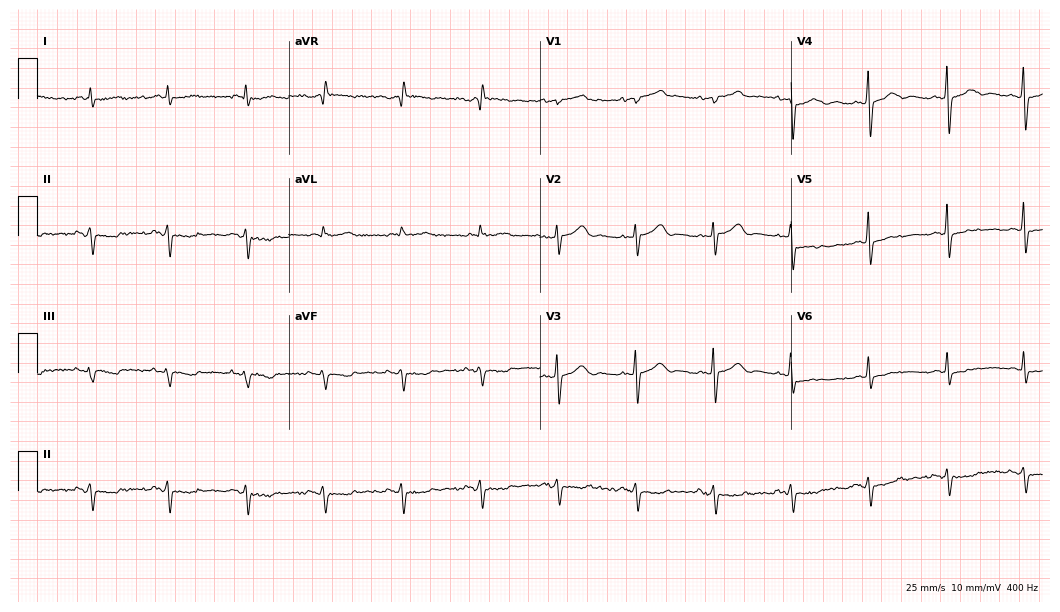
12-lead ECG from a male patient, 83 years old. Screened for six findings — first-degree AV block, right bundle branch block, left bundle branch block, sinus bradycardia, atrial fibrillation, sinus tachycardia — none is recorded.